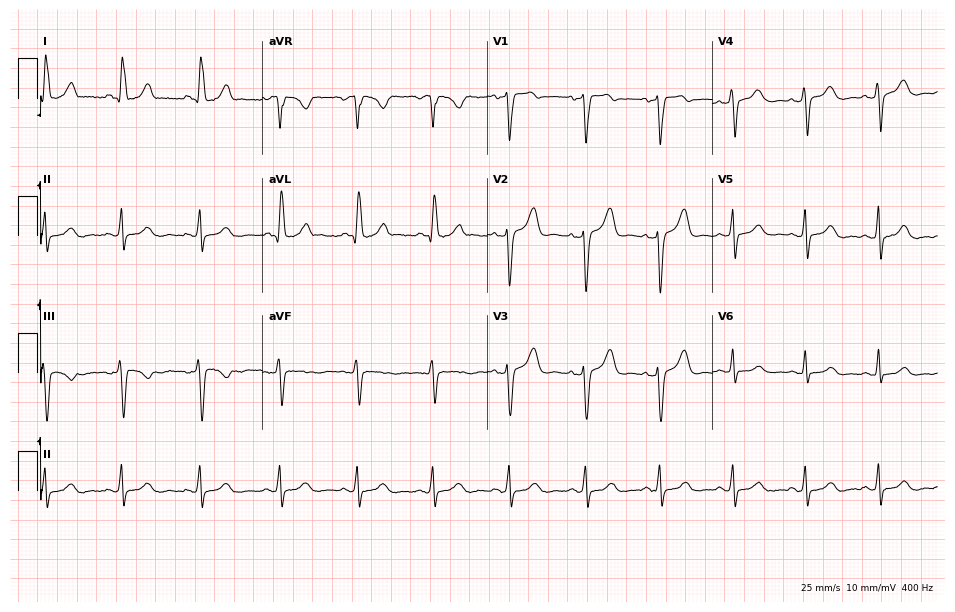
Standard 12-lead ECG recorded from a 60-year-old female. None of these six findings is recorded: first-degree AV block, right bundle branch block (RBBB), left bundle branch block (LBBB), sinus bradycardia, atrial fibrillation (AF), sinus tachycardia. Other findings, if any, are not listed.